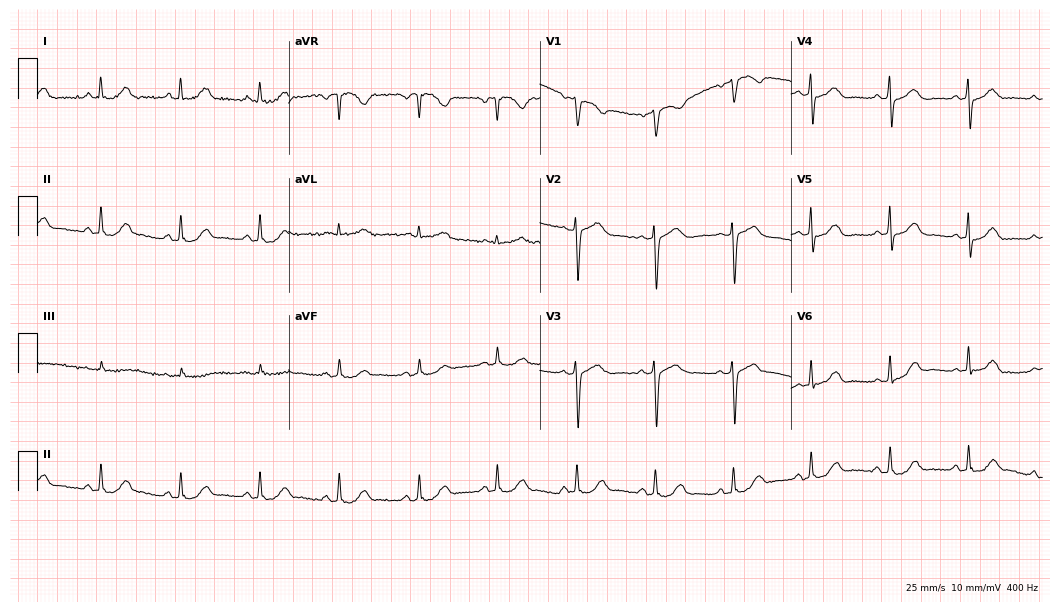
Resting 12-lead electrocardiogram (10.2-second recording at 400 Hz). Patient: a 60-year-old female. Read as a normal ECG.